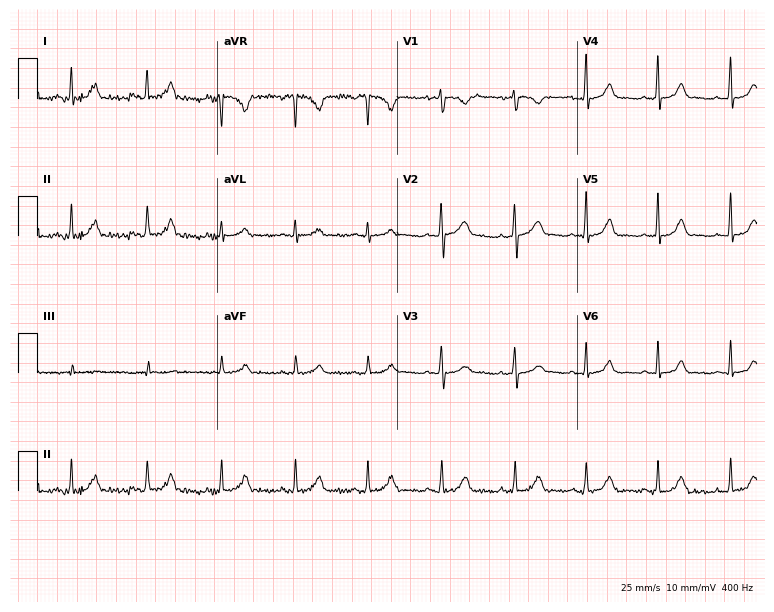
12-lead ECG from a 34-year-old female. No first-degree AV block, right bundle branch block, left bundle branch block, sinus bradycardia, atrial fibrillation or sinus tachycardia recorded for this tracing.